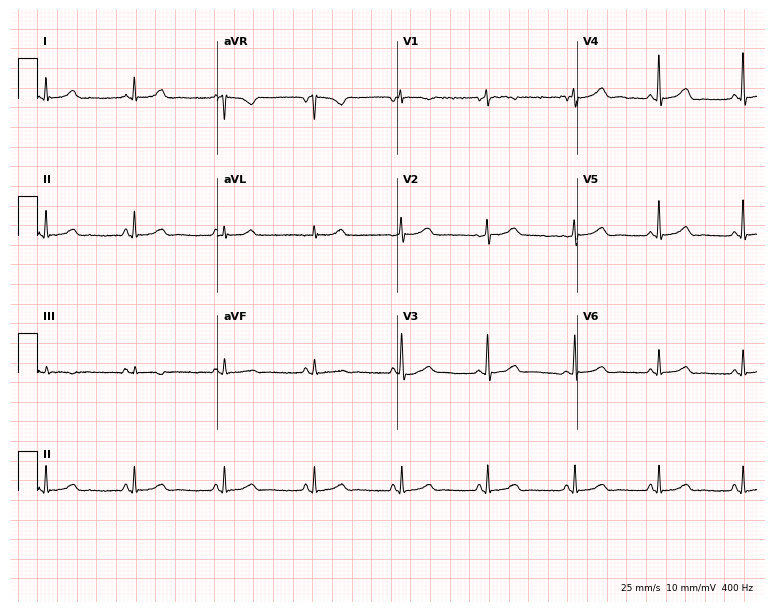
Electrocardiogram (7.3-second recording at 400 Hz), a 60-year-old female patient. Overall reading on record: normal ECG.